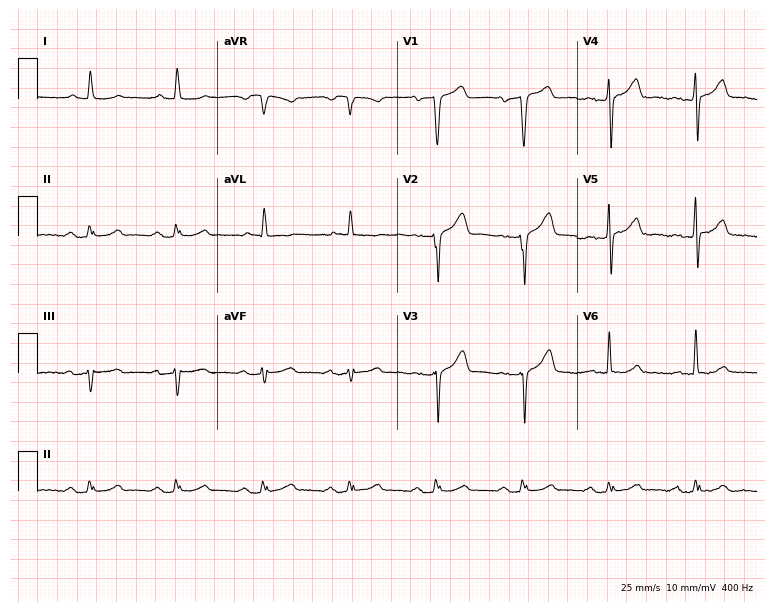
Electrocardiogram, a man, 64 years old. Of the six screened findings (first-degree AV block, right bundle branch block (RBBB), left bundle branch block (LBBB), sinus bradycardia, atrial fibrillation (AF), sinus tachycardia), none is recorded.